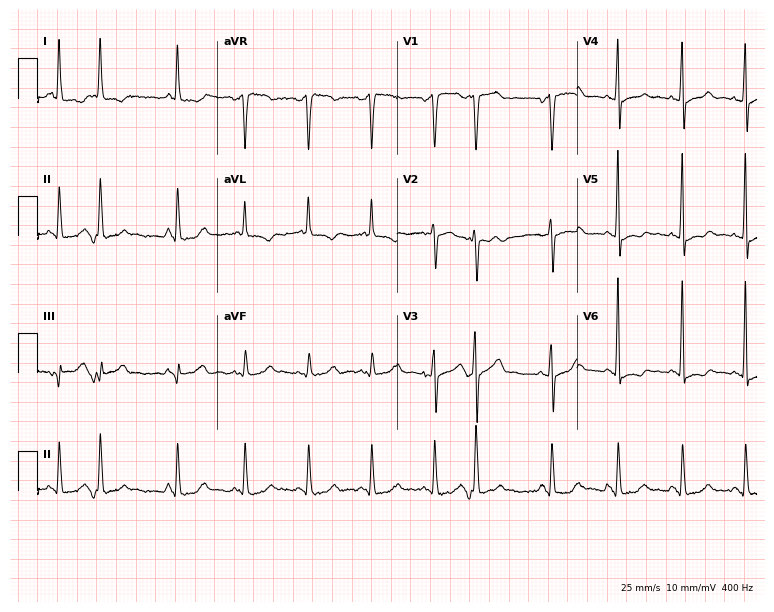
12-lead ECG from a 79-year-old female. Screened for six findings — first-degree AV block, right bundle branch block (RBBB), left bundle branch block (LBBB), sinus bradycardia, atrial fibrillation (AF), sinus tachycardia — none is recorded. Only these six findings were labelled.